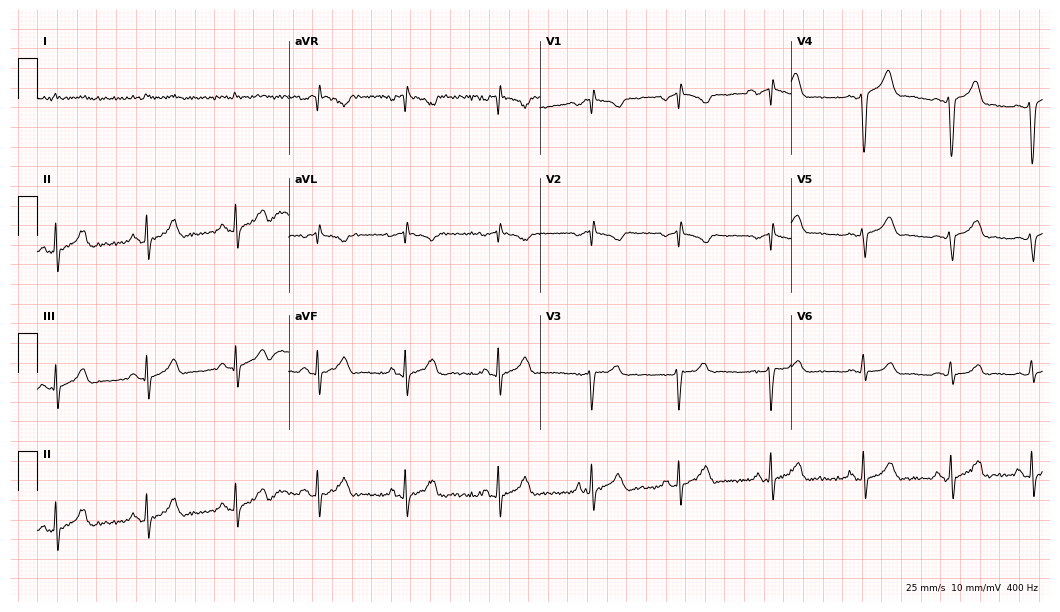
12-lead ECG from a male, 37 years old (10.2-second recording at 400 Hz). No first-degree AV block, right bundle branch block (RBBB), left bundle branch block (LBBB), sinus bradycardia, atrial fibrillation (AF) or sinus tachycardia recorded for this tracing. Other findings, if any, are not listed.